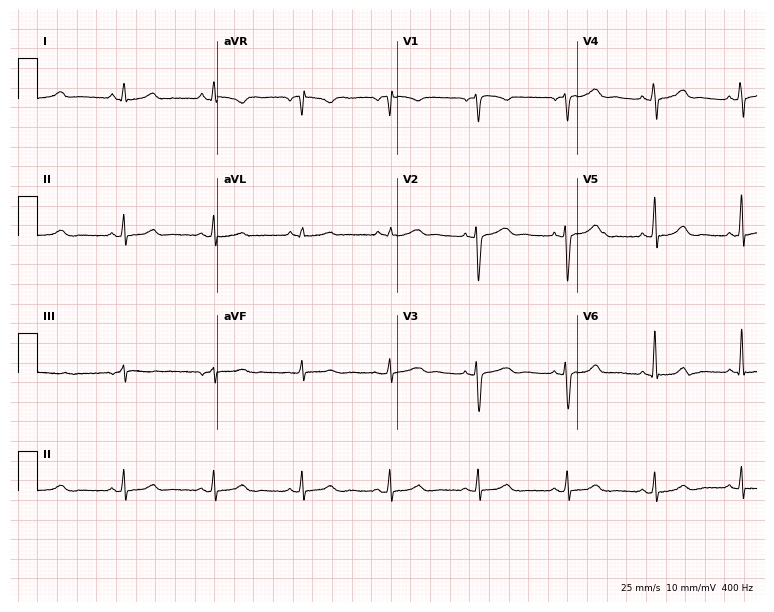
12-lead ECG (7.3-second recording at 400 Hz) from a 43-year-old woman. Screened for six findings — first-degree AV block, right bundle branch block, left bundle branch block, sinus bradycardia, atrial fibrillation, sinus tachycardia — none is recorded.